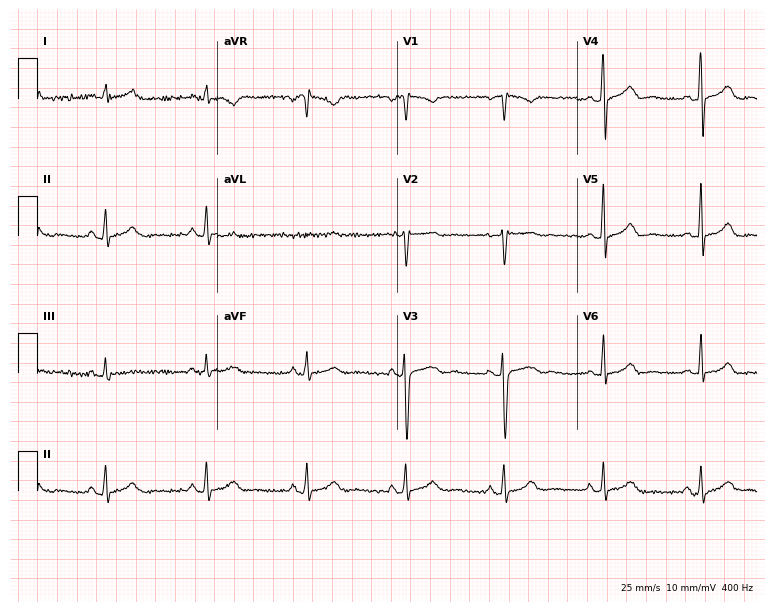
Resting 12-lead electrocardiogram (7.3-second recording at 400 Hz). Patient: a female, 40 years old. Read as a normal ECG.